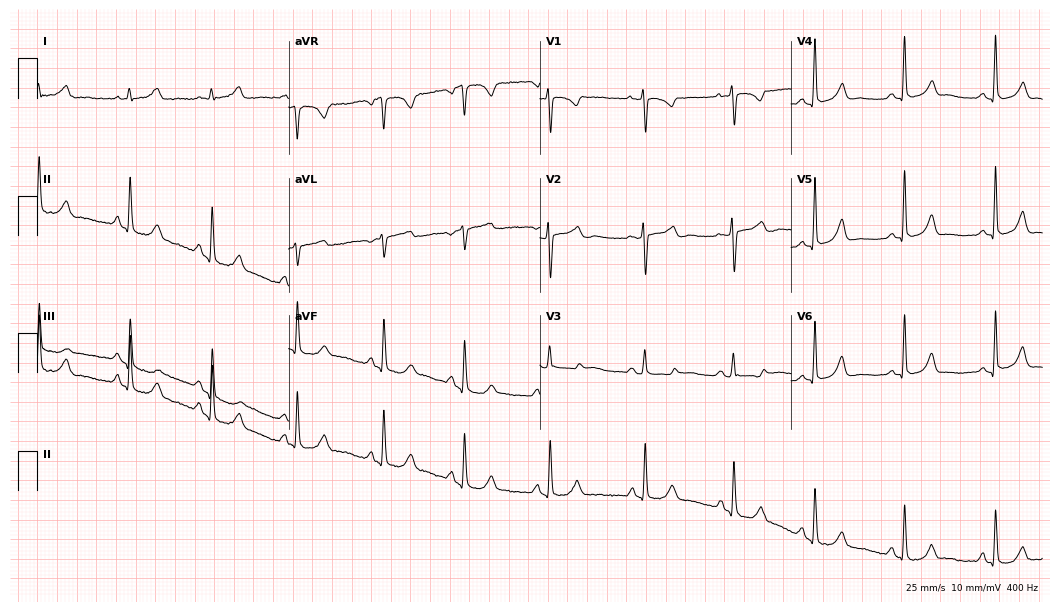
Resting 12-lead electrocardiogram. Patient: a woman, 35 years old. Read as a normal ECG.